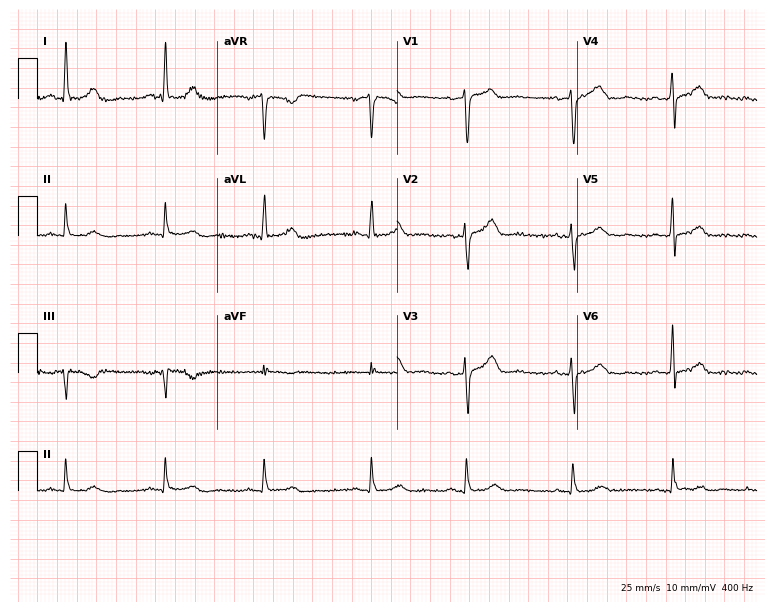
12-lead ECG (7.3-second recording at 400 Hz) from a 59-year-old female patient. Screened for six findings — first-degree AV block, right bundle branch block, left bundle branch block, sinus bradycardia, atrial fibrillation, sinus tachycardia — none is recorded. Findings outside these six are not listed.